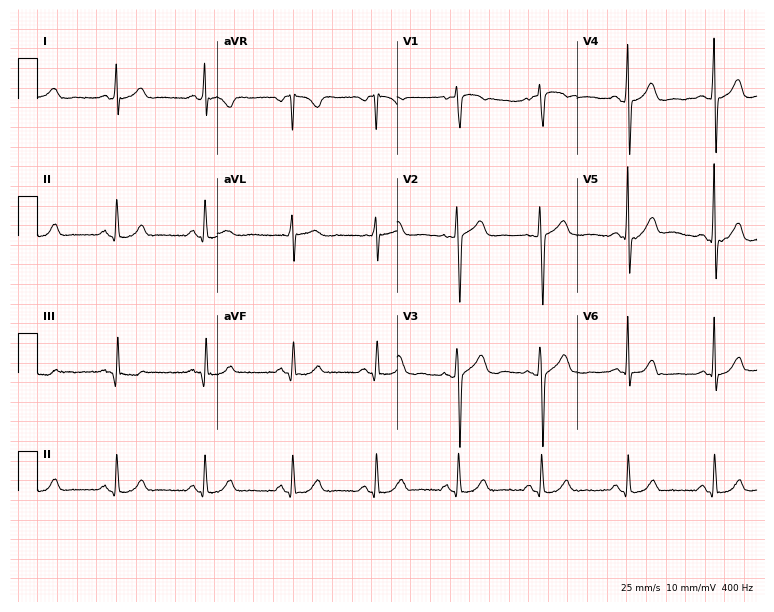
ECG (7.3-second recording at 400 Hz) — a female, 68 years old. Labelled as a normal ECG.